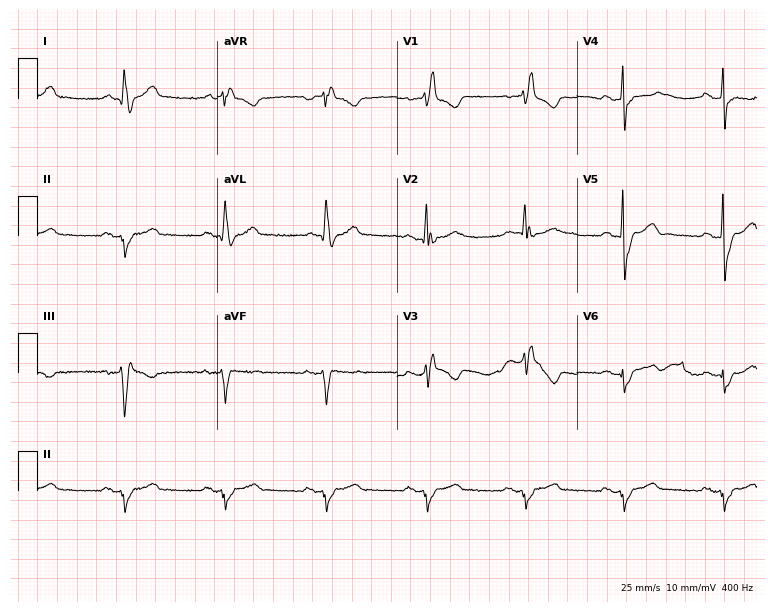
12-lead ECG from a 67-year-old man. Findings include right bundle branch block.